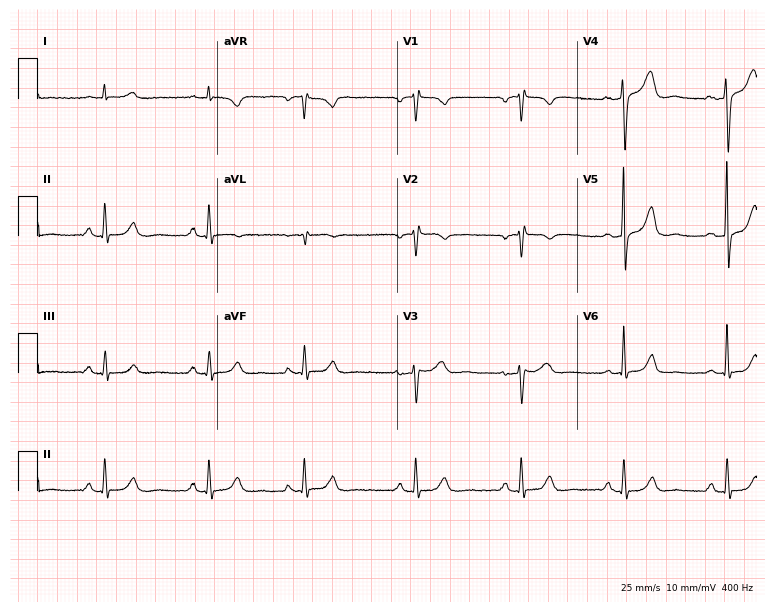
Resting 12-lead electrocardiogram (7.3-second recording at 400 Hz). Patient: a 44-year-old male. Read as a normal ECG.